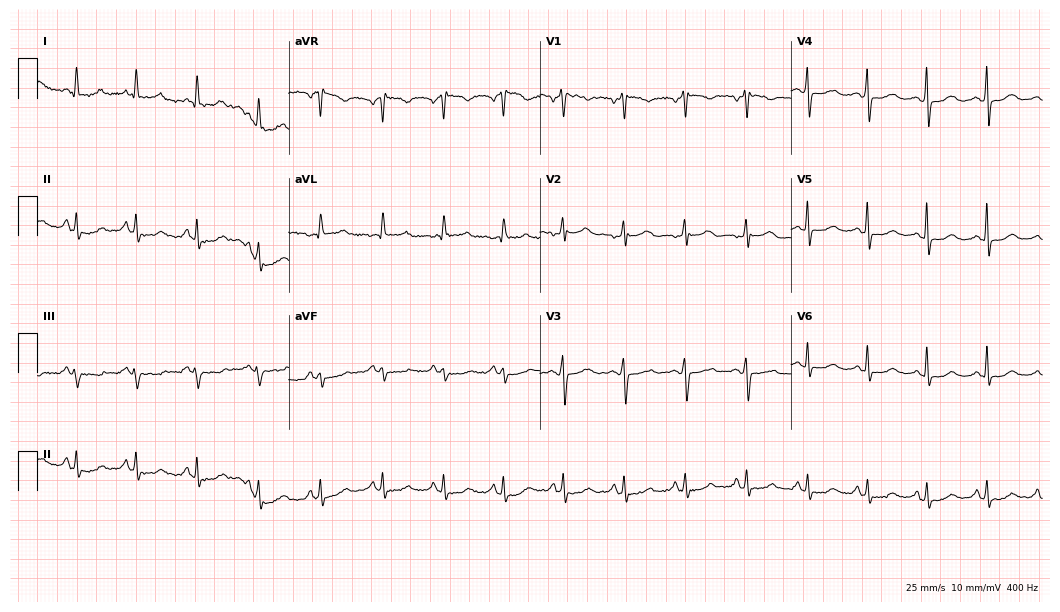
12-lead ECG from a 43-year-old female. No first-degree AV block, right bundle branch block, left bundle branch block, sinus bradycardia, atrial fibrillation or sinus tachycardia recorded for this tracing.